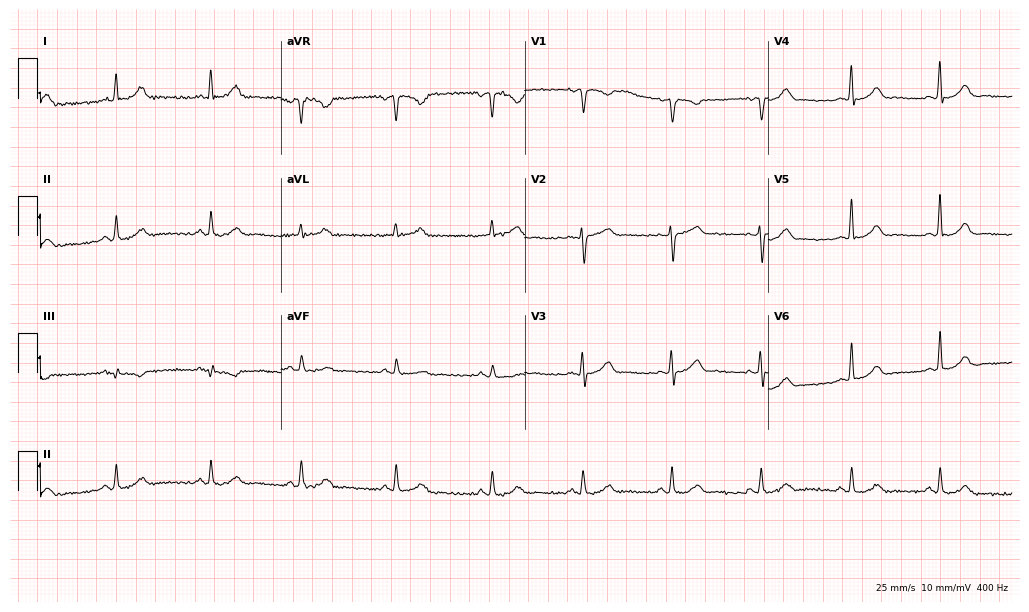
Resting 12-lead electrocardiogram (9.9-second recording at 400 Hz). Patient: a 43-year-old female. None of these six findings is recorded: first-degree AV block, right bundle branch block, left bundle branch block, sinus bradycardia, atrial fibrillation, sinus tachycardia. Findings outside these six are not listed.